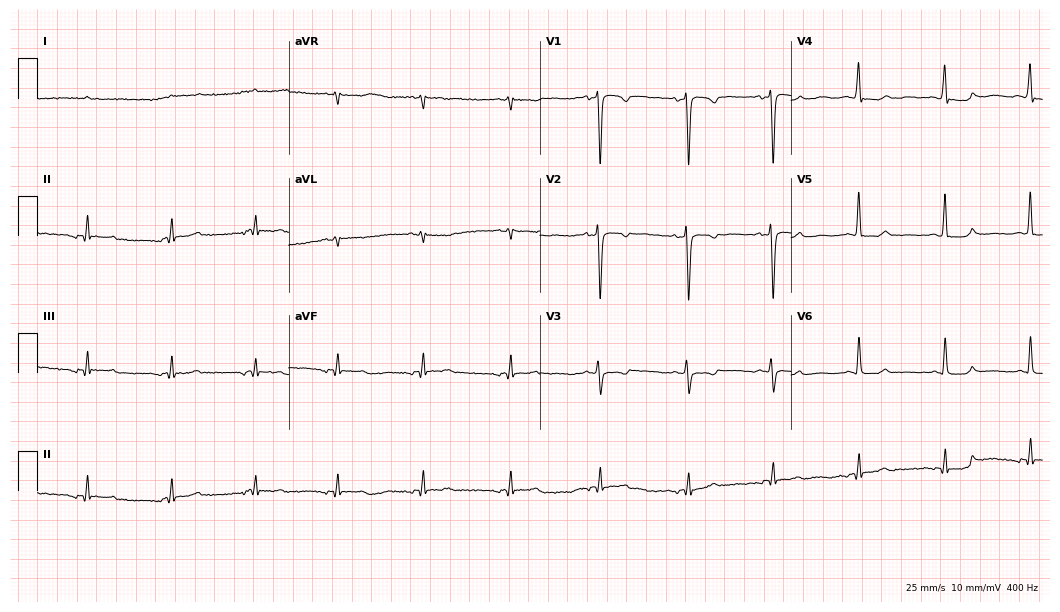
Resting 12-lead electrocardiogram. Patient: a female, 81 years old. None of these six findings is recorded: first-degree AV block, right bundle branch block, left bundle branch block, sinus bradycardia, atrial fibrillation, sinus tachycardia.